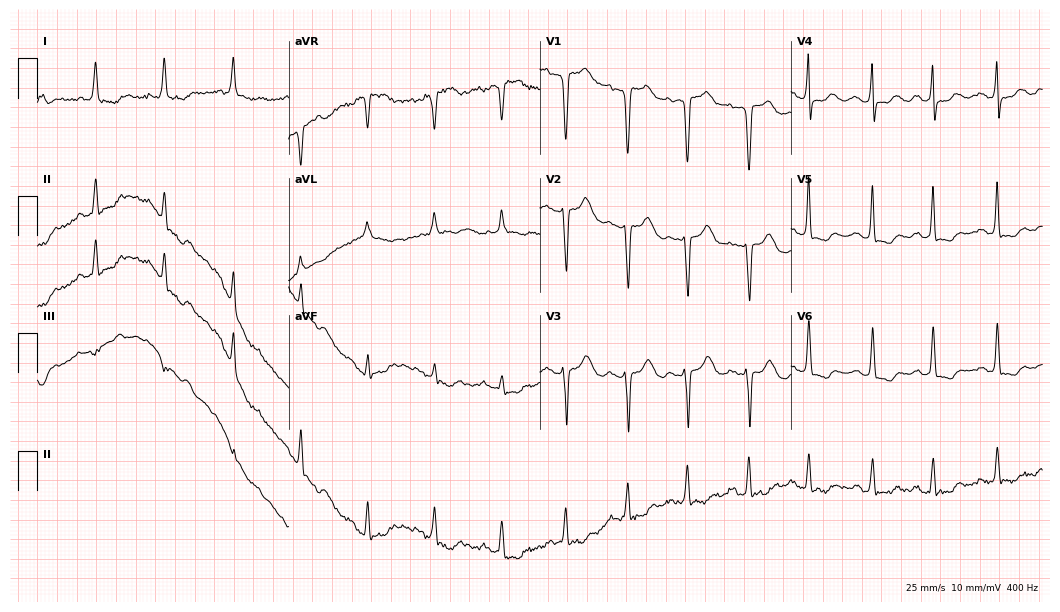
Standard 12-lead ECG recorded from an 84-year-old female patient. None of these six findings is recorded: first-degree AV block, right bundle branch block (RBBB), left bundle branch block (LBBB), sinus bradycardia, atrial fibrillation (AF), sinus tachycardia. Only these six findings were labelled.